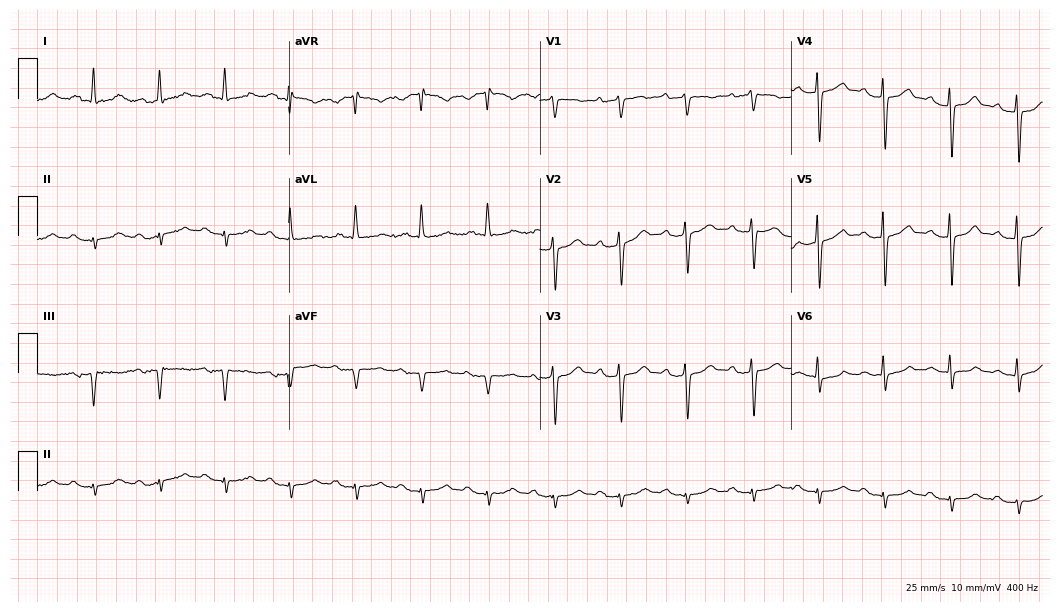
Resting 12-lead electrocardiogram (10.2-second recording at 400 Hz). Patient: a 70-year-old male. None of these six findings is recorded: first-degree AV block, right bundle branch block (RBBB), left bundle branch block (LBBB), sinus bradycardia, atrial fibrillation (AF), sinus tachycardia. Findings outside these six are not listed.